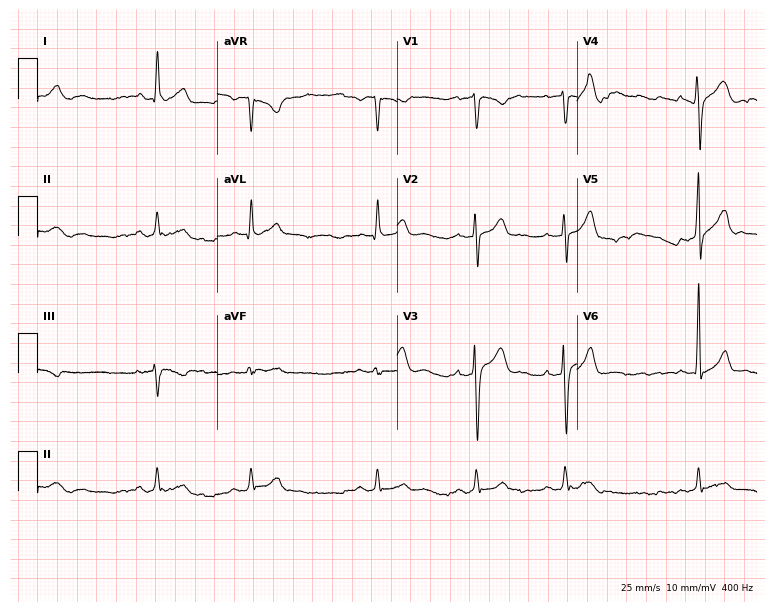
Electrocardiogram, a 34-year-old man. Of the six screened findings (first-degree AV block, right bundle branch block (RBBB), left bundle branch block (LBBB), sinus bradycardia, atrial fibrillation (AF), sinus tachycardia), none is recorded.